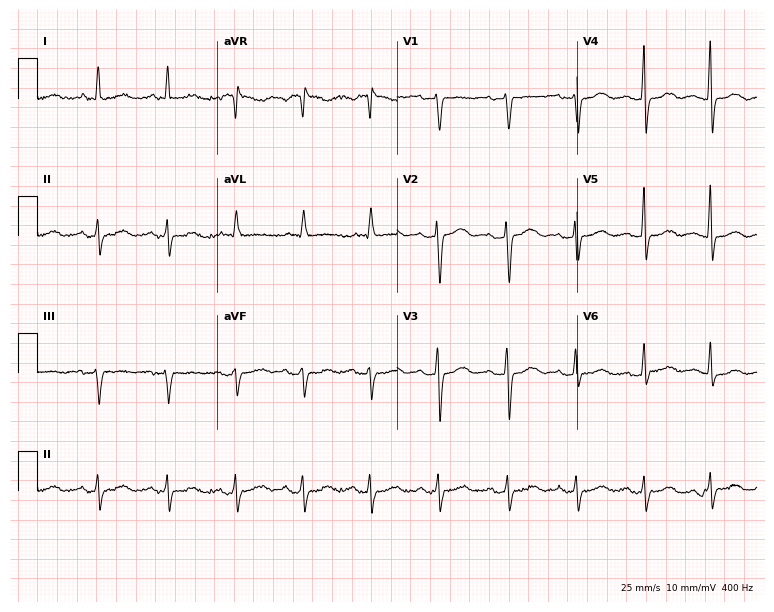
Resting 12-lead electrocardiogram (7.3-second recording at 400 Hz). Patient: a female, 55 years old. None of these six findings is recorded: first-degree AV block, right bundle branch block (RBBB), left bundle branch block (LBBB), sinus bradycardia, atrial fibrillation (AF), sinus tachycardia. Other findings, if any, are not listed.